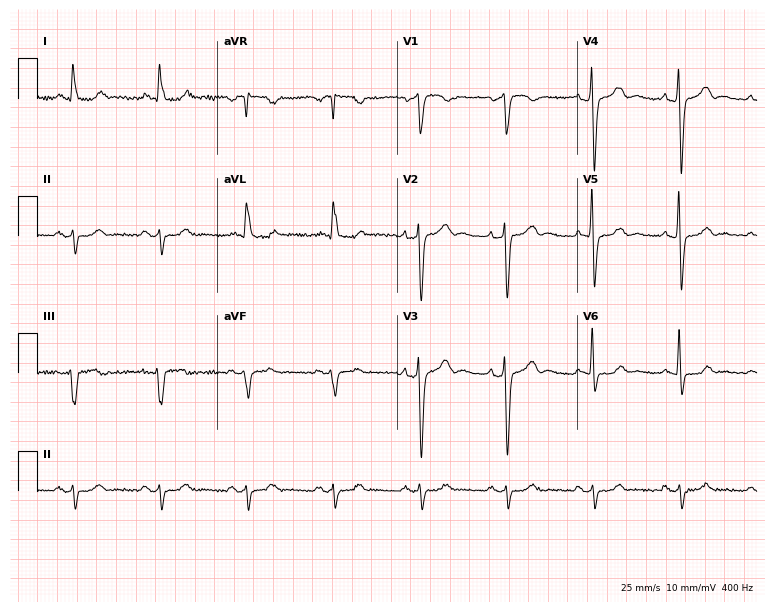
12-lead ECG (7.3-second recording at 400 Hz) from a man, 63 years old. Screened for six findings — first-degree AV block, right bundle branch block, left bundle branch block, sinus bradycardia, atrial fibrillation, sinus tachycardia — none is recorded.